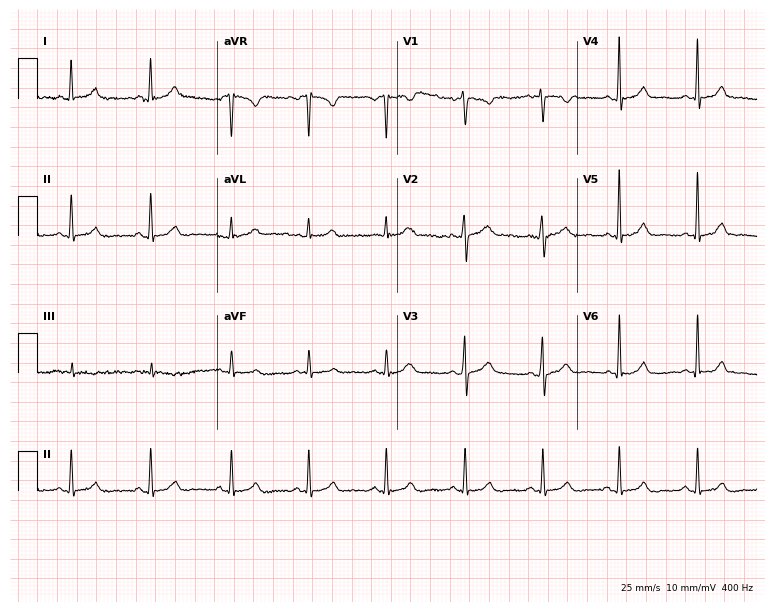
Electrocardiogram, a 41-year-old woman. Overall reading on record: normal ECG.